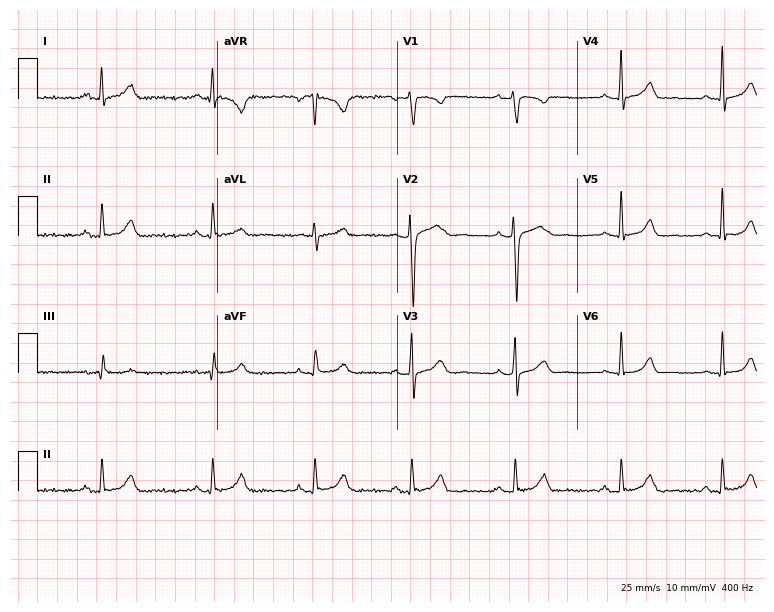
Electrocardiogram (7.3-second recording at 400 Hz), a man, 36 years old. Overall reading on record: normal ECG.